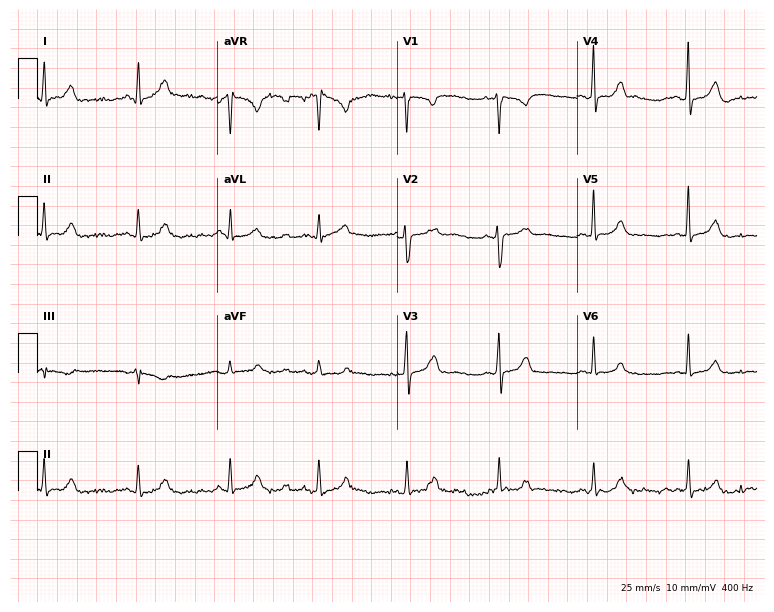
12-lead ECG (7.3-second recording at 400 Hz) from a 42-year-old female patient. Labelled as a normal ECG.